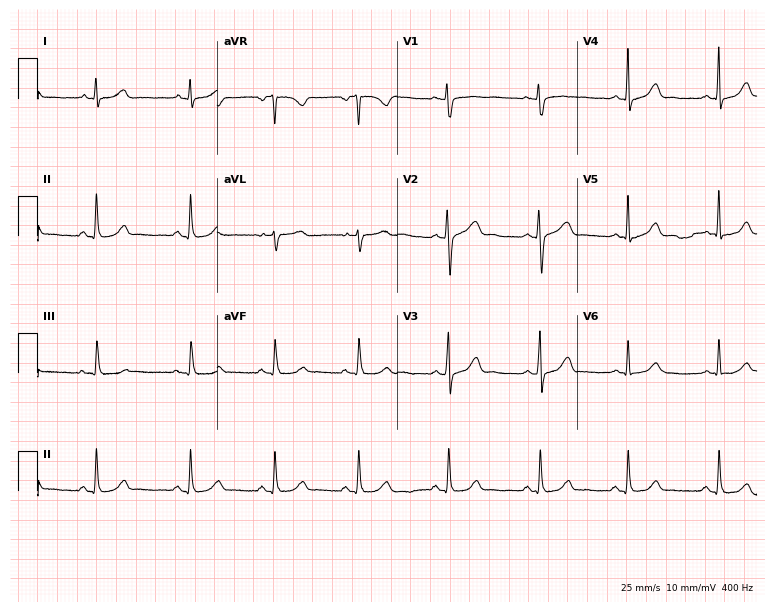
Electrocardiogram (7.3-second recording at 400 Hz), a 31-year-old man. Of the six screened findings (first-degree AV block, right bundle branch block, left bundle branch block, sinus bradycardia, atrial fibrillation, sinus tachycardia), none is recorded.